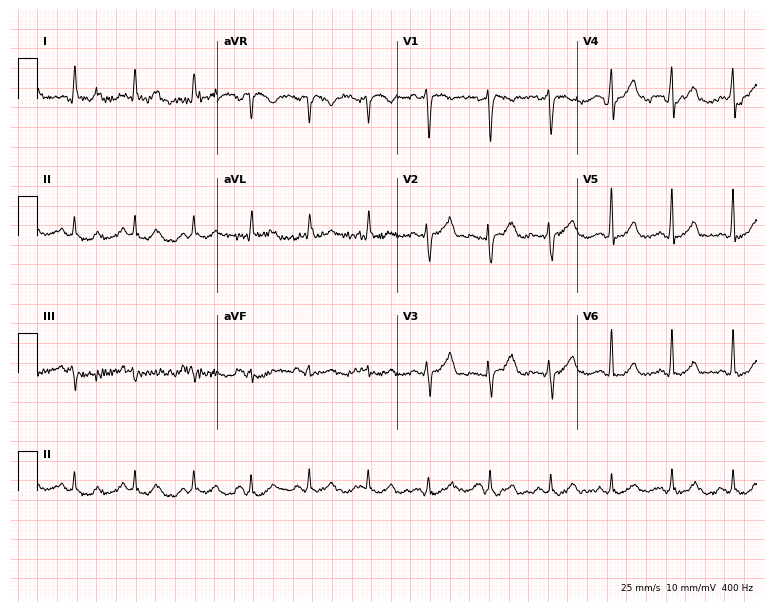
Standard 12-lead ECG recorded from a 54-year-old woman (7.3-second recording at 400 Hz). None of these six findings is recorded: first-degree AV block, right bundle branch block, left bundle branch block, sinus bradycardia, atrial fibrillation, sinus tachycardia.